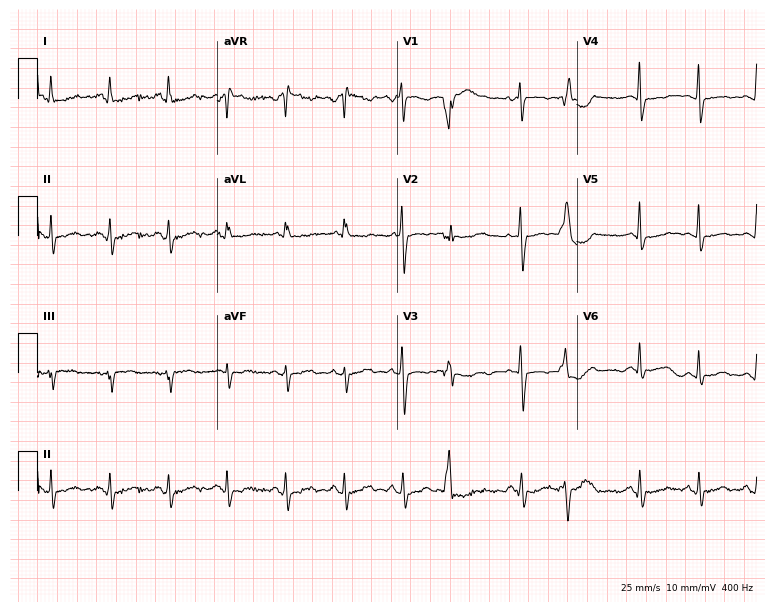
12-lead ECG from a 54-year-old woman (7.3-second recording at 400 Hz). Shows sinus tachycardia (a sinus rate of 100 beats per minute or more).